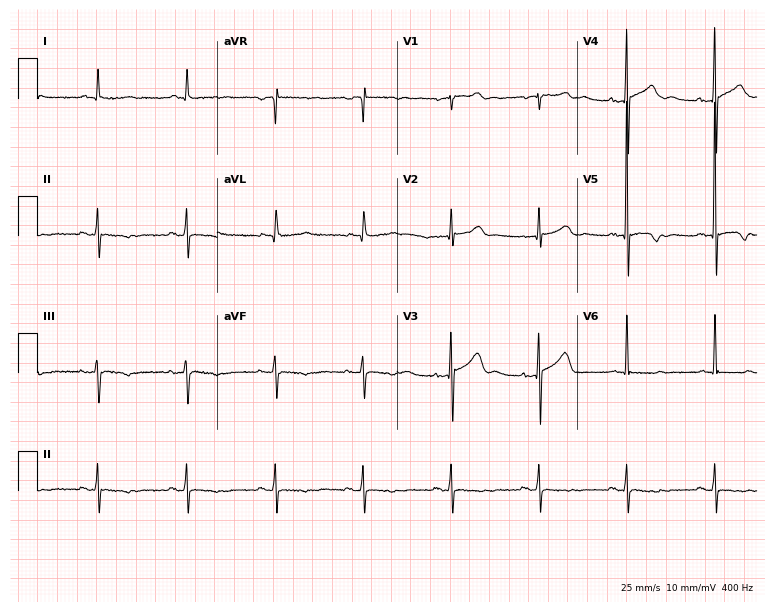
12-lead ECG from a male, 75 years old. No first-degree AV block, right bundle branch block, left bundle branch block, sinus bradycardia, atrial fibrillation or sinus tachycardia recorded for this tracing.